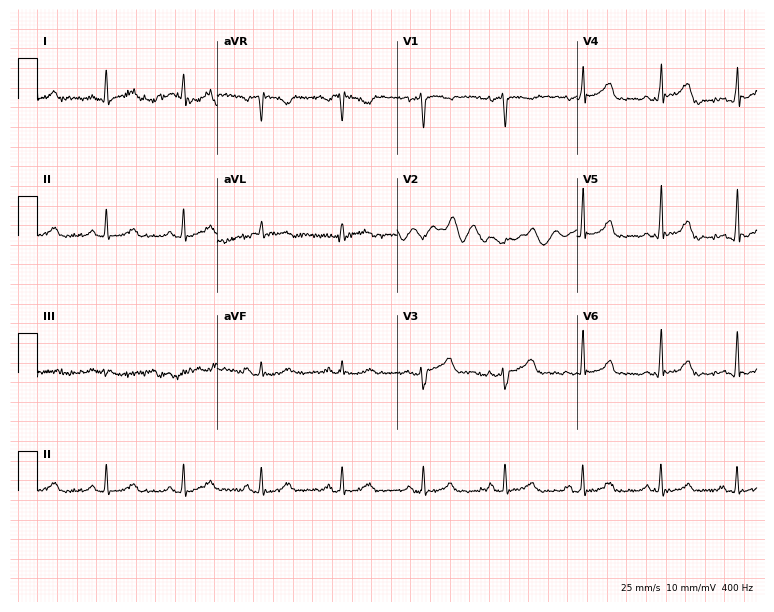
Standard 12-lead ECG recorded from a woman, 41 years old. Read as a normal ECG.